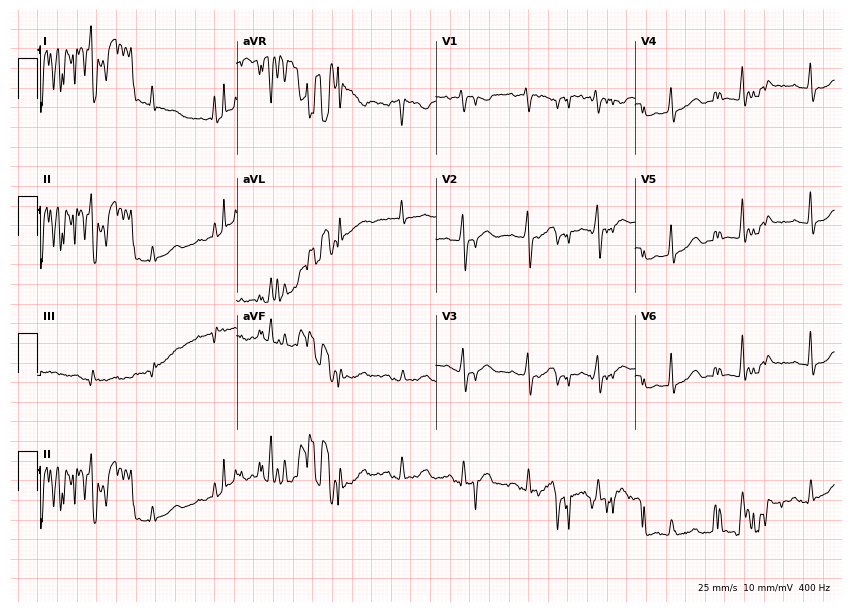
Electrocardiogram (8.1-second recording at 400 Hz), a female, 45 years old. Of the six screened findings (first-degree AV block, right bundle branch block (RBBB), left bundle branch block (LBBB), sinus bradycardia, atrial fibrillation (AF), sinus tachycardia), none is recorded. Other findings, if any, are not listed.